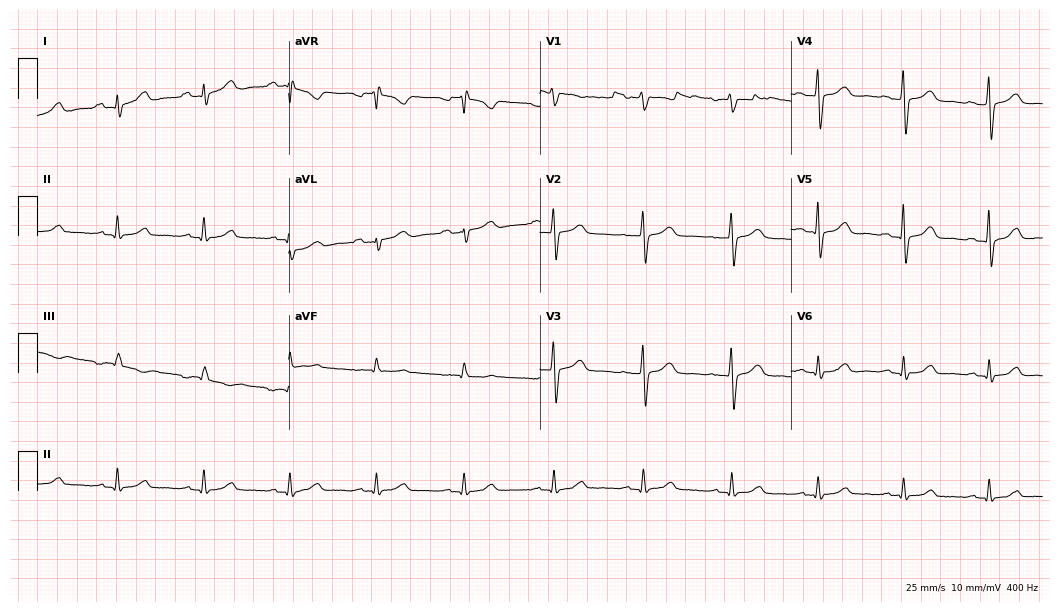
12-lead ECG (10.2-second recording at 400 Hz) from a female, 58 years old. Labelled as a normal ECG.